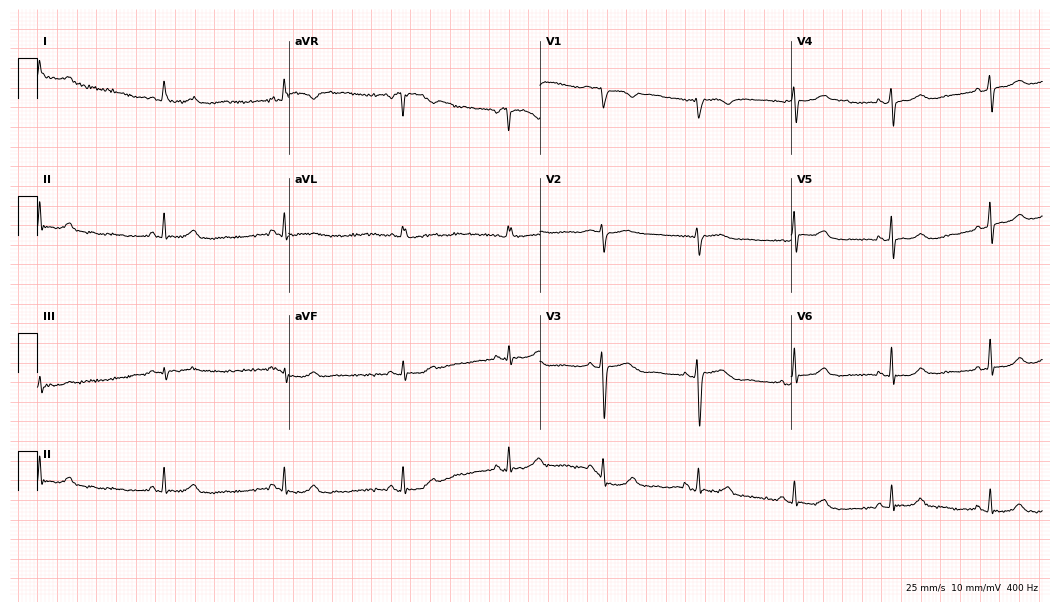
12-lead ECG (10.2-second recording at 400 Hz) from a 74-year-old woman. Screened for six findings — first-degree AV block, right bundle branch block, left bundle branch block, sinus bradycardia, atrial fibrillation, sinus tachycardia — none is recorded. Other findings, if any, are not listed.